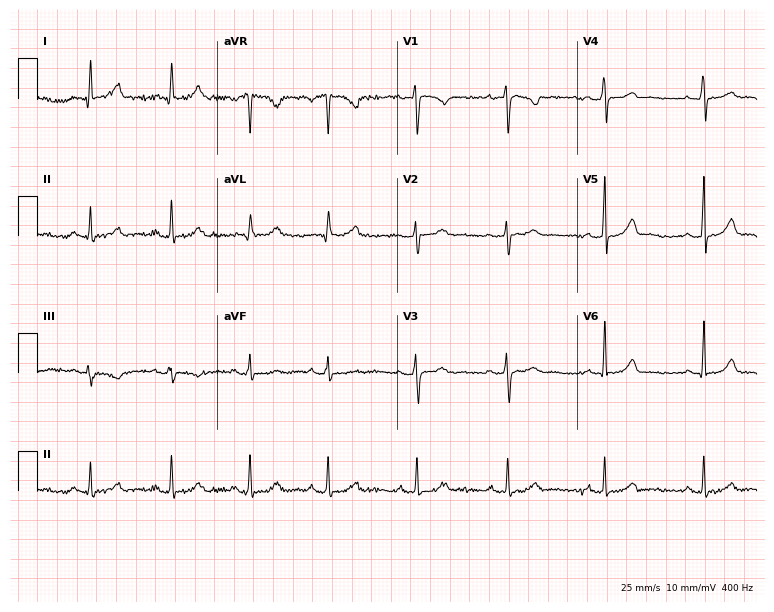
Electrocardiogram (7.3-second recording at 400 Hz), a 32-year-old woman. Overall reading on record: normal ECG.